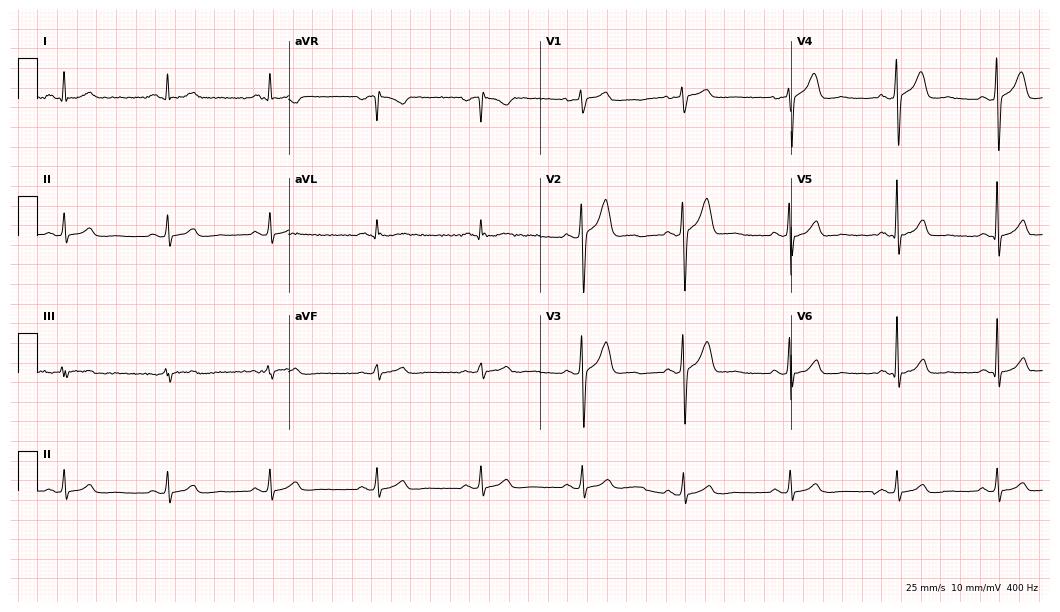
12-lead ECG from a 40-year-old male patient (10.2-second recording at 400 Hz). Recorded interpretation: within normal limits.